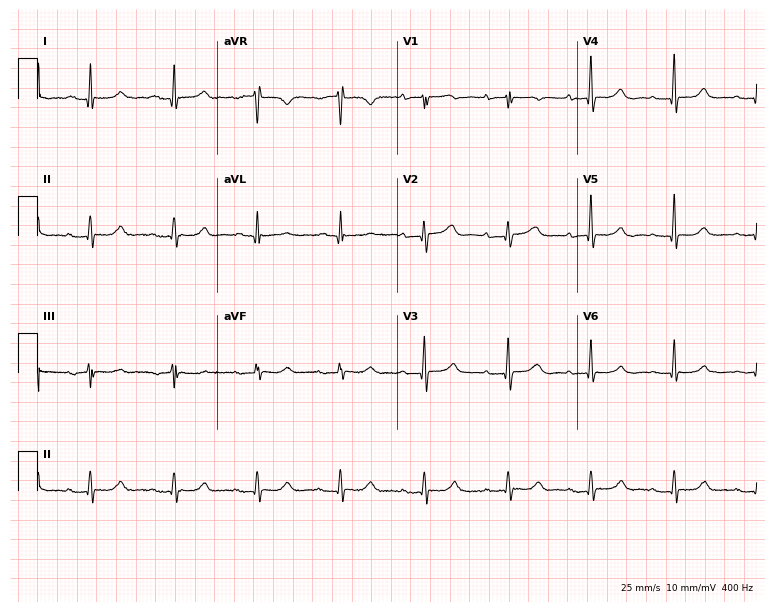
Resting 12-lead electrocardiogram (7.3-second recording at 400 Hz). Patient: a 78-year-old woman. Read as a normal ECG.